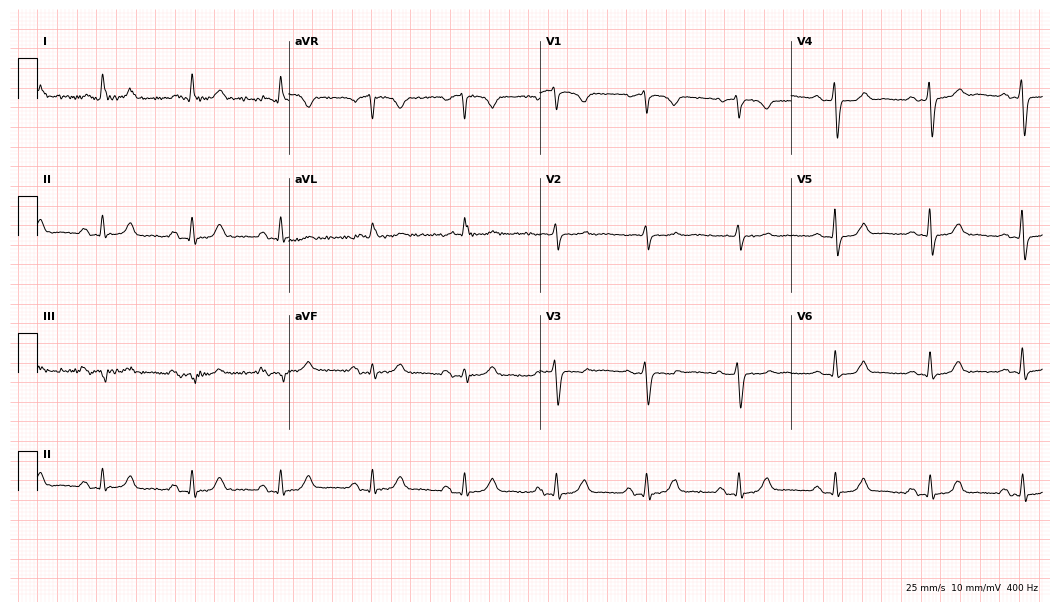
Standard 12-lead ECG recorded from a female patient, 72 years old. None of these six findings is recorded: first-degree AV block, right bundle branch block (RBBB), left bundle branch block (LBBB), sinus bradycardia, atrial fibrillation (AF), sinus tachycardia.